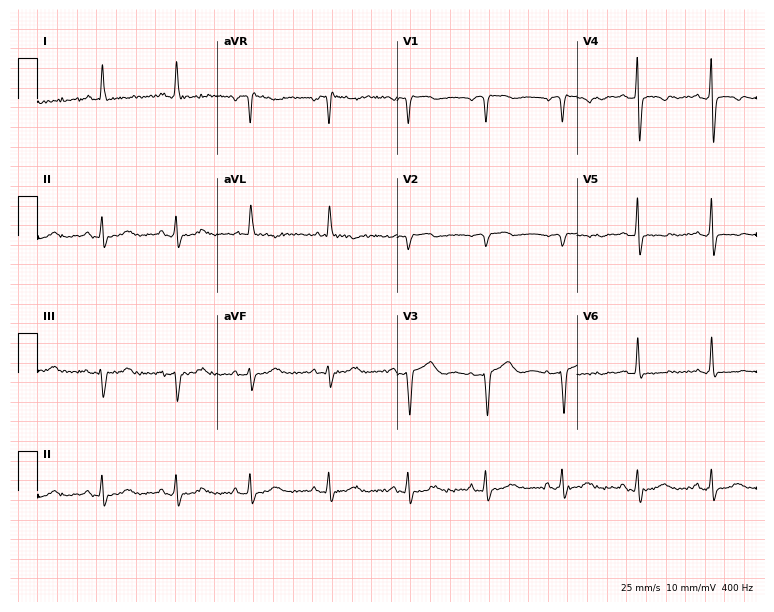
12-lead ECG from a female, 66 years old. No first-degree AV block, right bundle branch block (RBBB), left bundle branch block (LBBB), sinus bradycardia, atrial fibrillation (AF) or sinus tachycardia recorded for this tracing.